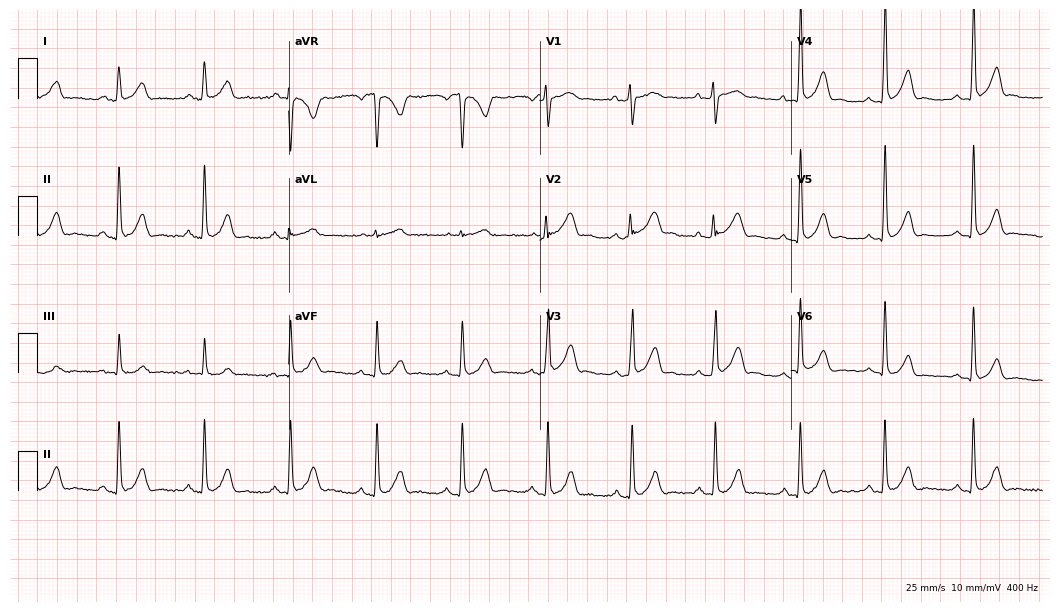
Electrocardiogram (10.2-second recording at 400 Hz), a 30-year-old male. Overall reading on record: normal ECG.